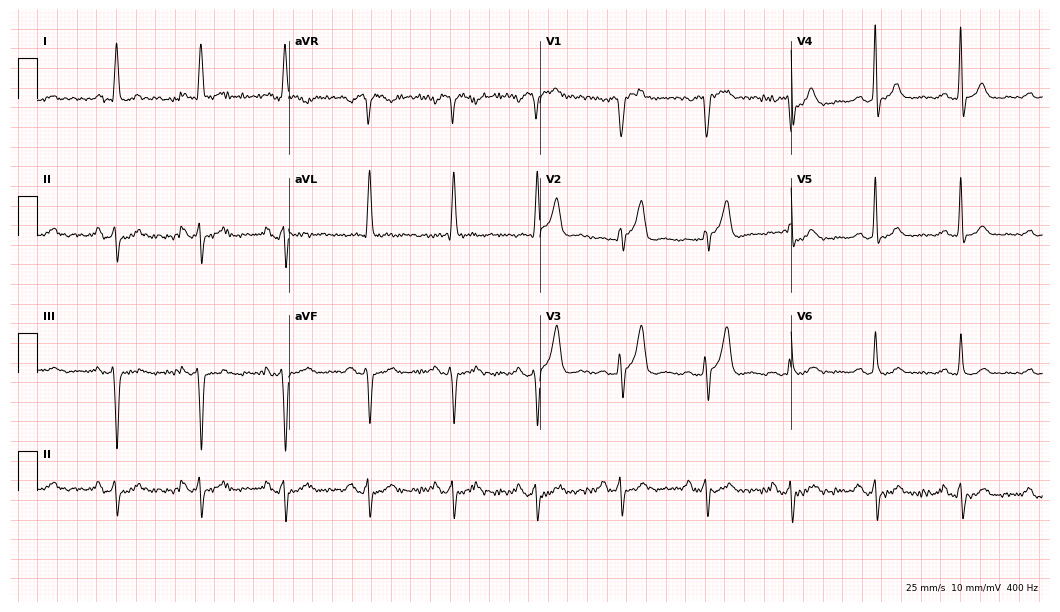
ECG — a 73-year-old male. Screened for six findings — first-degree AV block, right bundle branch block (RBBB), left bundle branch block (LBBB), sinus bradycardia, atrial fibrillation (AF), sinus tachycardia — none is recorded.